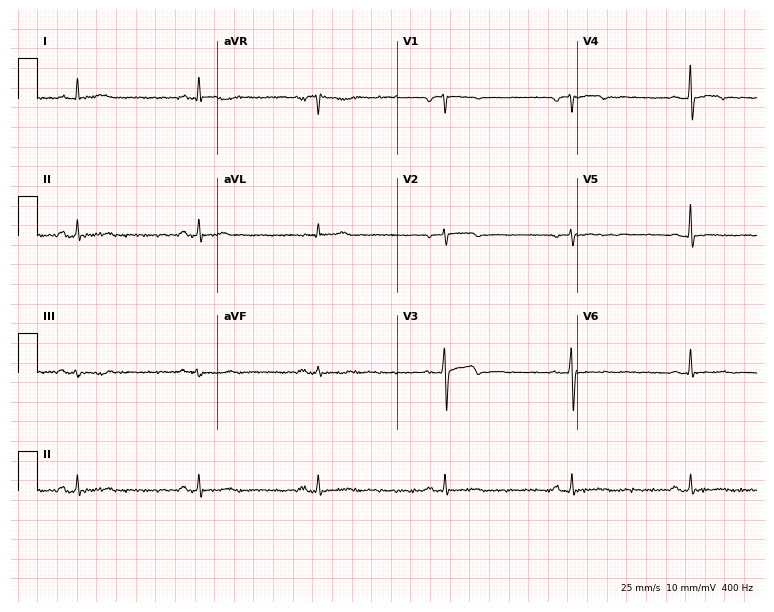
ECG (7.3-second recording at 400 Hz) — a male patient, 46 years old. Findings include sinus bradycardia (a sinus rate of 50 beats per minute or less).